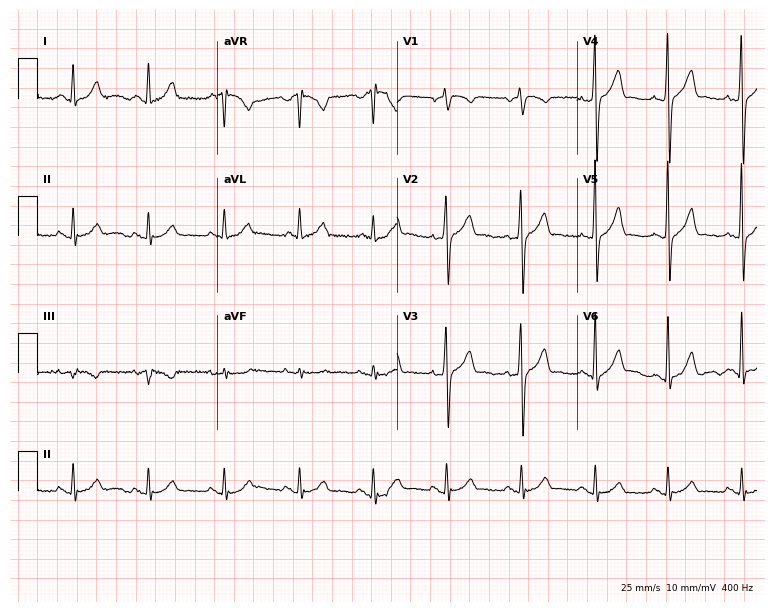
12-lead ECG from a 42-year-old man (7.3-second recording at 400 Hz). Recorded interpretation: within normal limits.